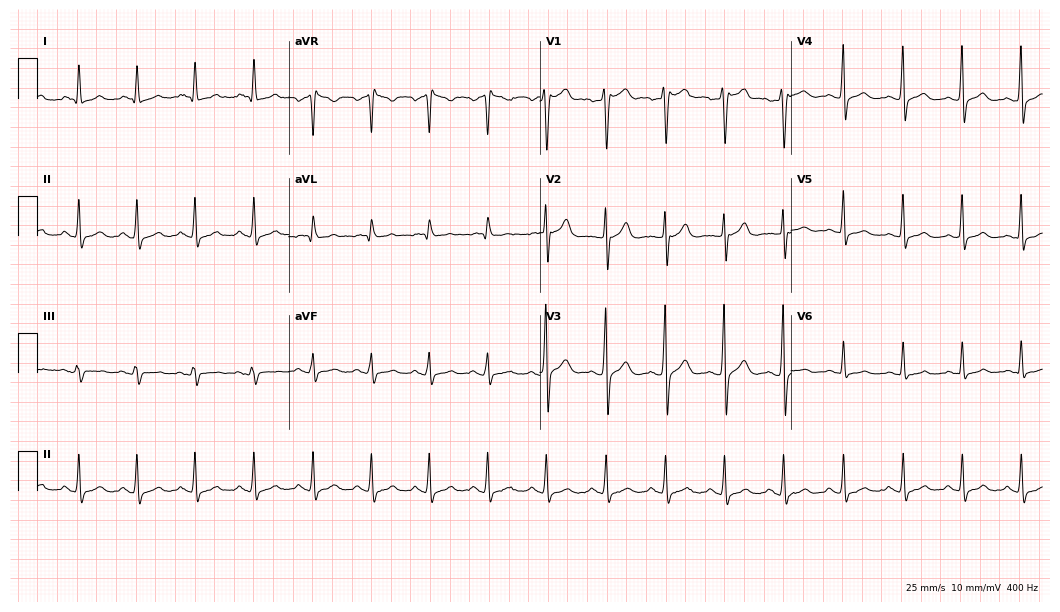
12-lead ECG from a 27-year-old male. Recorded interpretation: within normal limits.